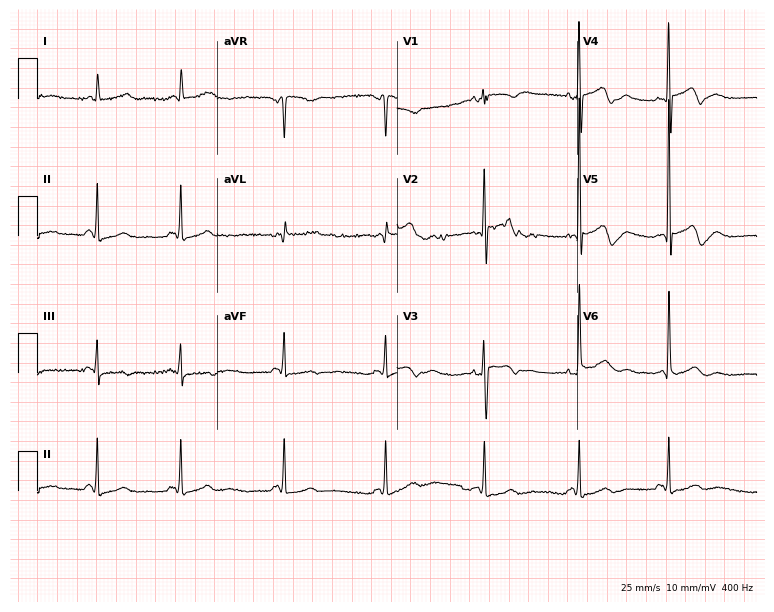
12-lead ECG from a 78-year-old woman. Screened for six findings — first-degree AV block, right bundle branch block, left bundle branch block, sinus bradycardia, atrial fibrillation, sinus tachycardia — none is recorded. Other findings, if any, are not listed.